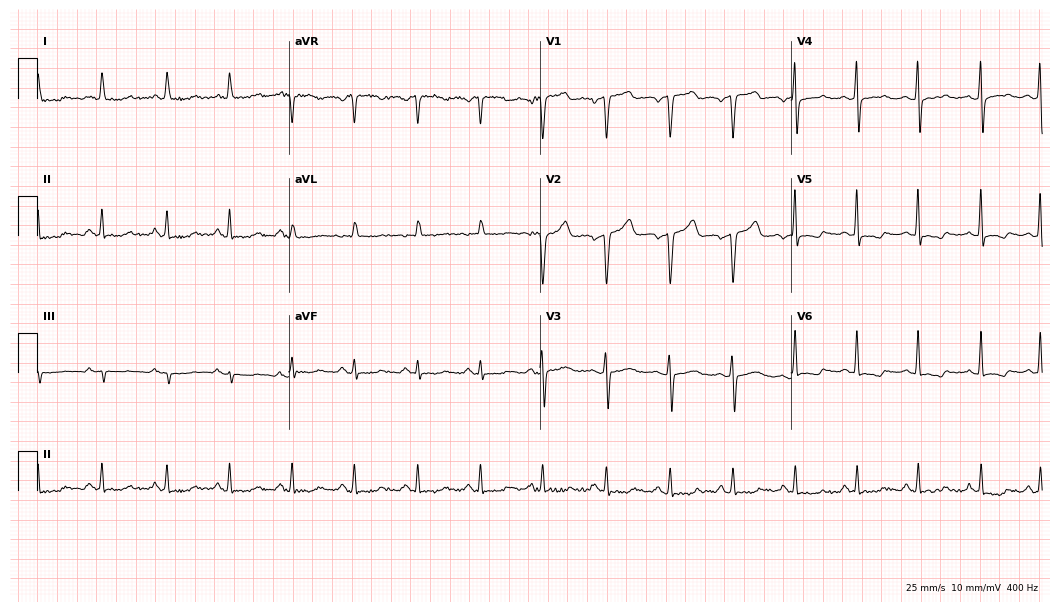
ECG (10.2-second recording at 400 Hz) — a female, 77 years old. Screened for six findings — first-degree AV block, right bundle branch block, left bundle branch block, sinus bradycardia, atrial fibrillation, sinus tachycardia — none is recorded. Other findings, if any, are not listed.